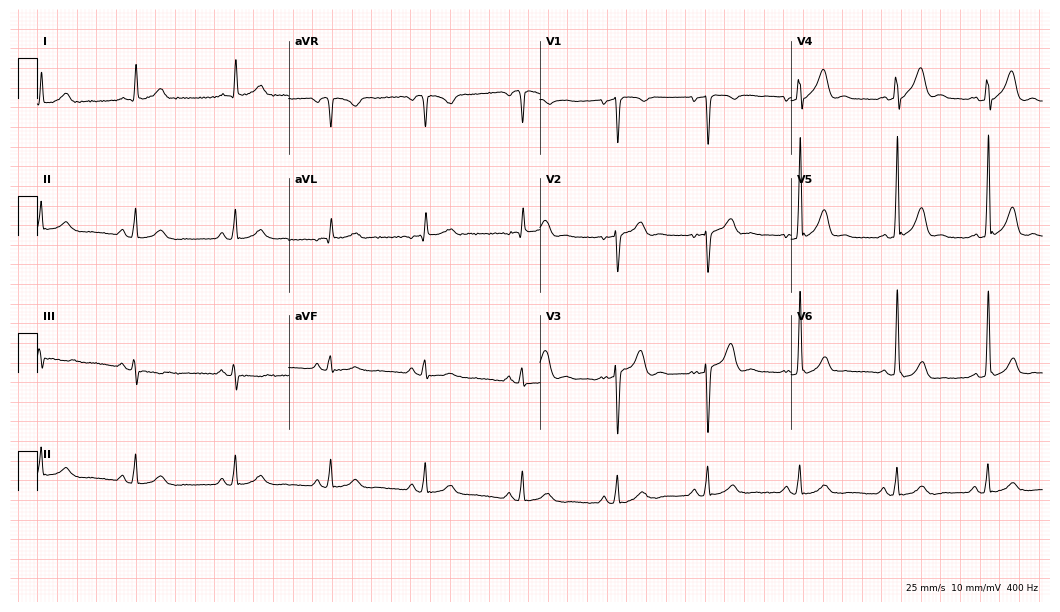
Standard 12-lead ECG recorded from a male, 44 years old (10.2-second recording at 400 Hz). Read as a normal ECG.